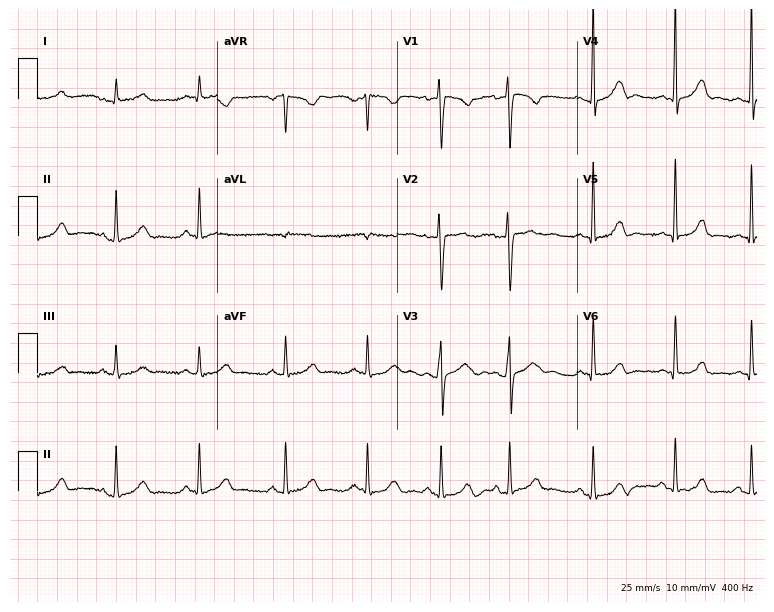
Resting 12-lead electrocardiogram (7.3-second recording at 400 Hz). Patient: a 23-year-old female. None of these six findings is recorded: first-degree AV block, right bundle branch block, left bundle branch block, sinus bradycardia, atrial fibrillation, sinus tachycardia.